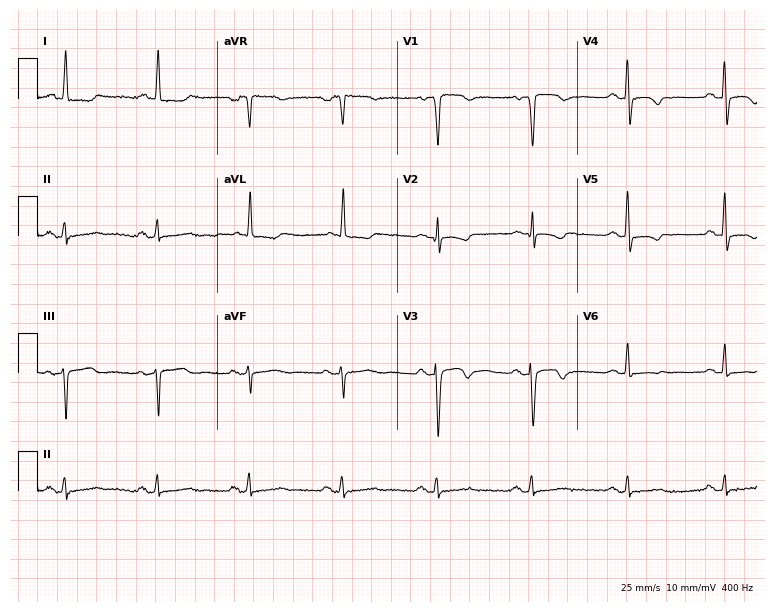
Standard 12-lead ECG recorded from a woman, 64 years old. None of these six findings is recorded: first-degree AV block, right bundle branch block (RBBB), left bundle branch block (LBBB), sinus bradycardia, atrial fibrillation (AF), sinus tachycardia. Other findings, if any, are not listed.